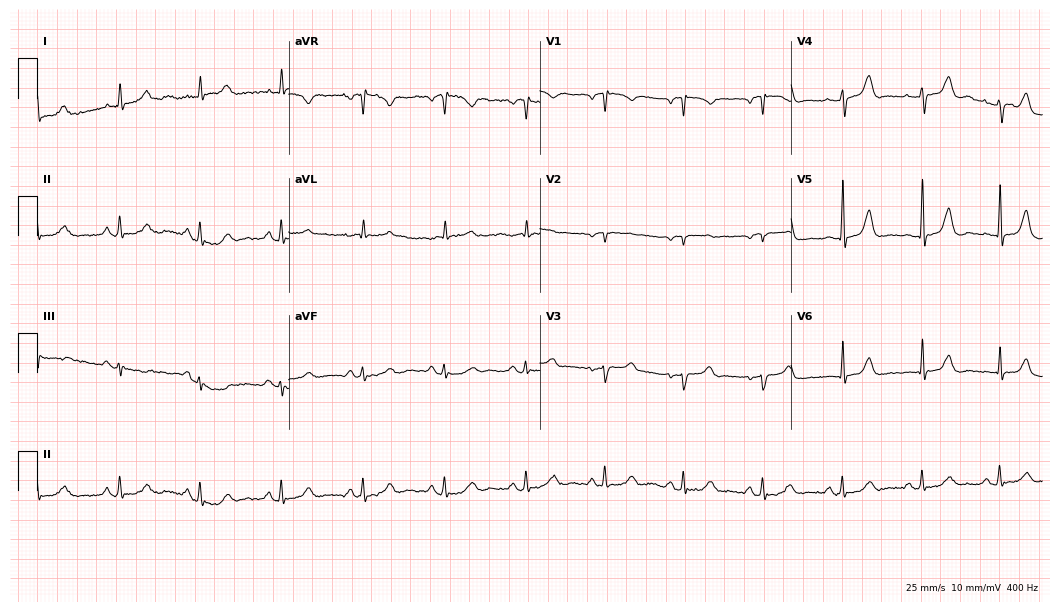
Electrocardiogram (10.2-second recording at 400 Hz), a woman, 72 years old. Of the six screened findings (first-degree AV block, right bundle branch block, left bundle branch block, sinus bradycardia, atrial fibrillation, sinus tachycardia), none is recorded. Only these six findings were labelled.